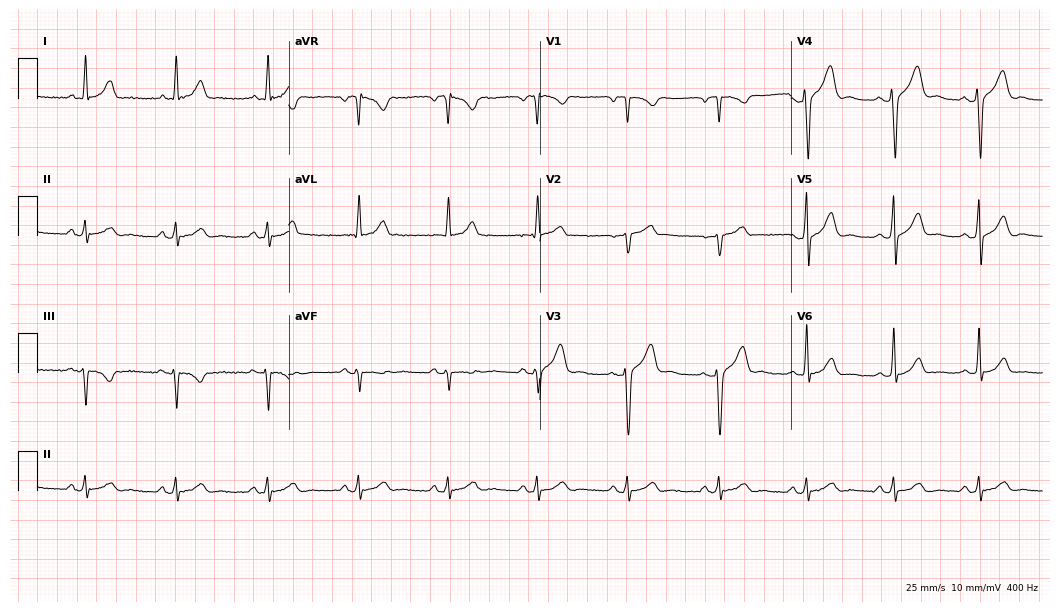
12-lead ECG from a male, 41 years old. Screened for six findings — first-degree AV block, right bundle branch block, left bundle branch block, sinus bradycardia, atrial fibrillation, sinus tachycardia — none is recorded.